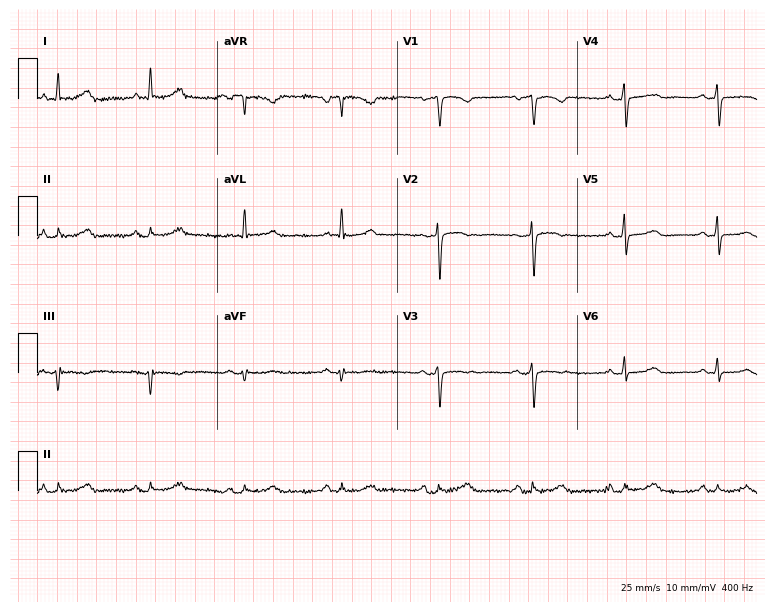
12-lead ECG (7.3-second recording at 400 Hz) from a woman, 68 years old. Labelled as a normal ECG.